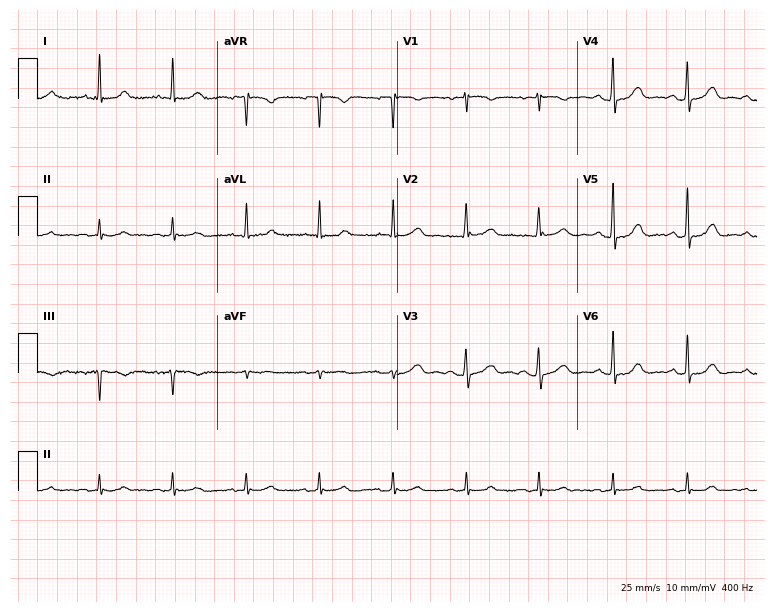
ECG (7.3-second recording at 400 Hz) — a female, 80 years old. Labelled as a normal ECG.